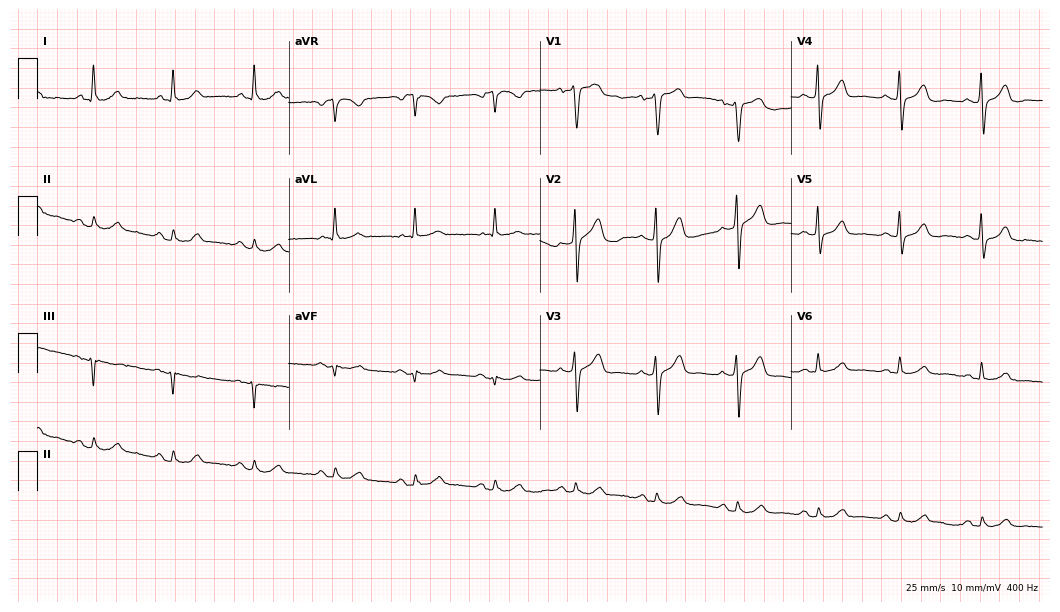
12-lead ECG from a man, 67 years old. Screened for six findings — first-degree AV block, right bundle branch block, left bundle branch block, sinus bradycardia, atrial fibrillation, sinus tachycardia — none is recorded.